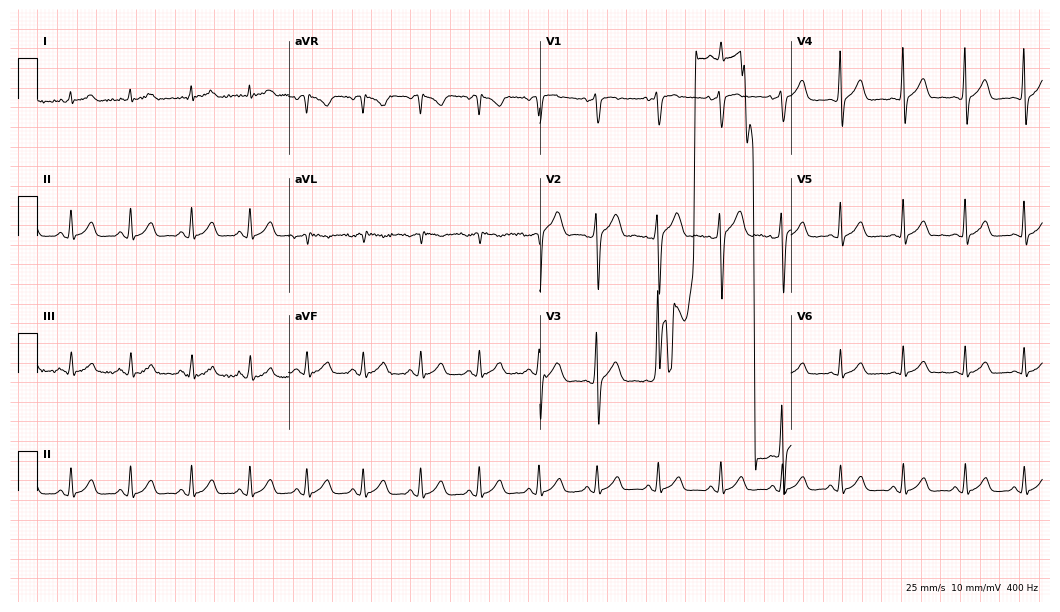
ECG — a male patient, 20 years old. Screened for six findings — first-degree AV block, right bundle branch block, left bundle branch block, sinus bradycardia, atrial fibrillation, sinus tachycardia — none is recorded.